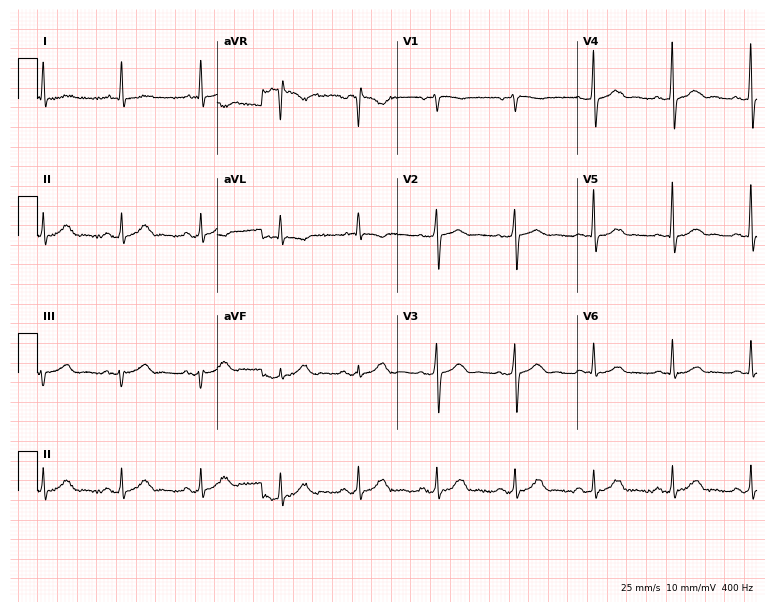
Standard 12-lead ECG recorded from an 82-year-old man. Read as a normal ECG.